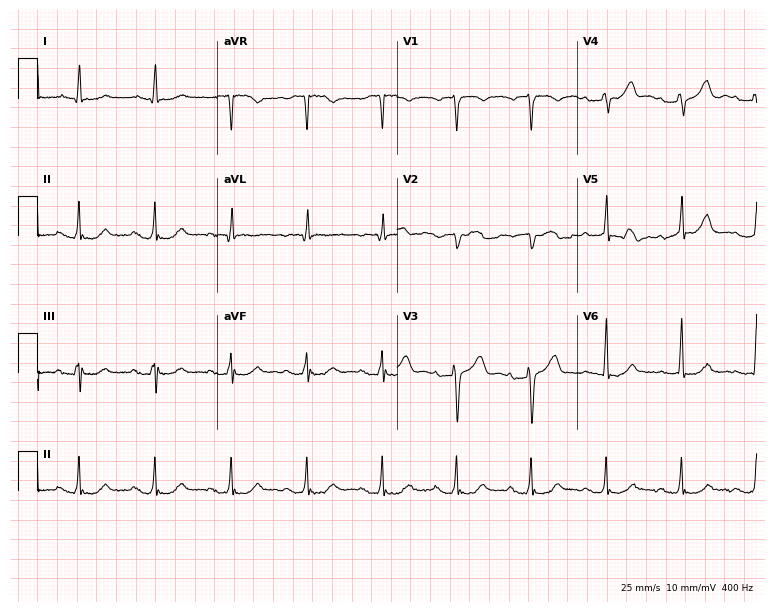
12-lead ECG from a 75-year-old male patient. Screened for six findings — first-degree AV block, right bundle branch block, left bundle branch block, sinus bradycardia, atrial fibrillation, sinus tachycardia — none is recorded.